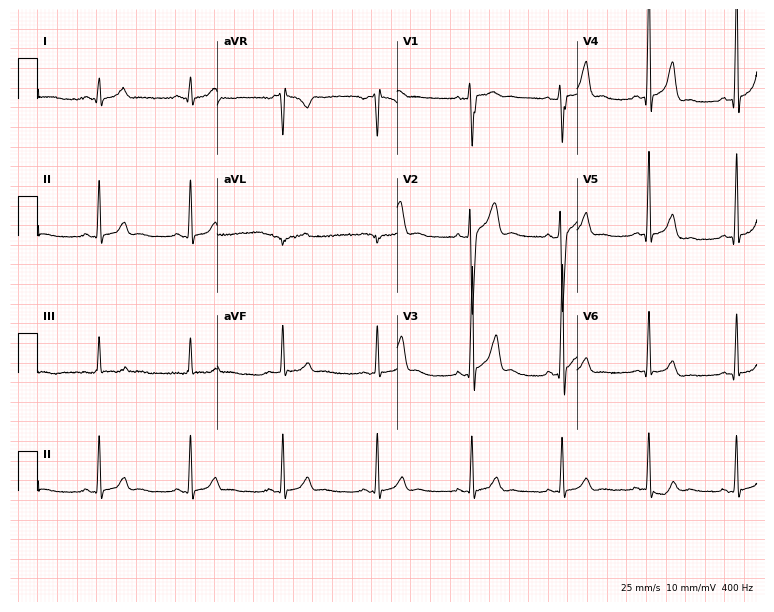
12-lead ECG from a man, 21 years old (7.3-second recording at 400 Hz). Recorded interpretation: within normal limits.